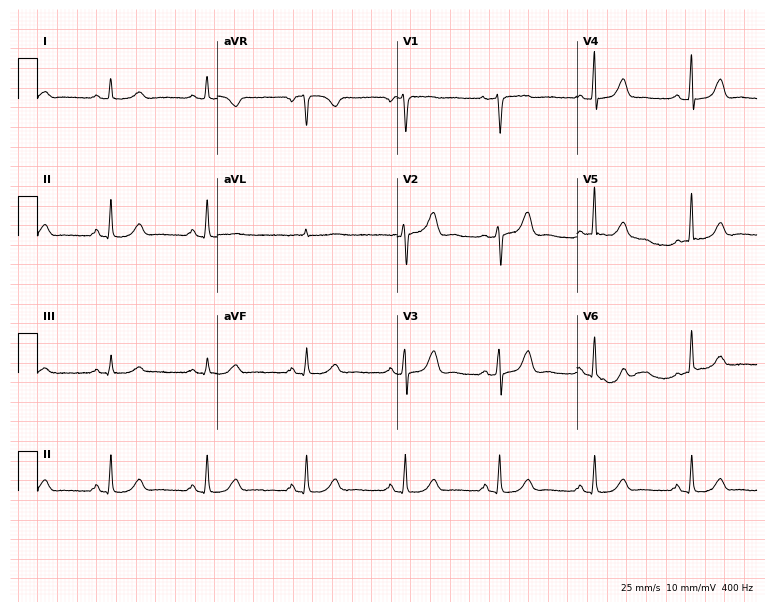
12-lead ECG from a 59-year-old female patient (7.3-second recording at 400 Hz). Recorded interpretation: within normal limits.